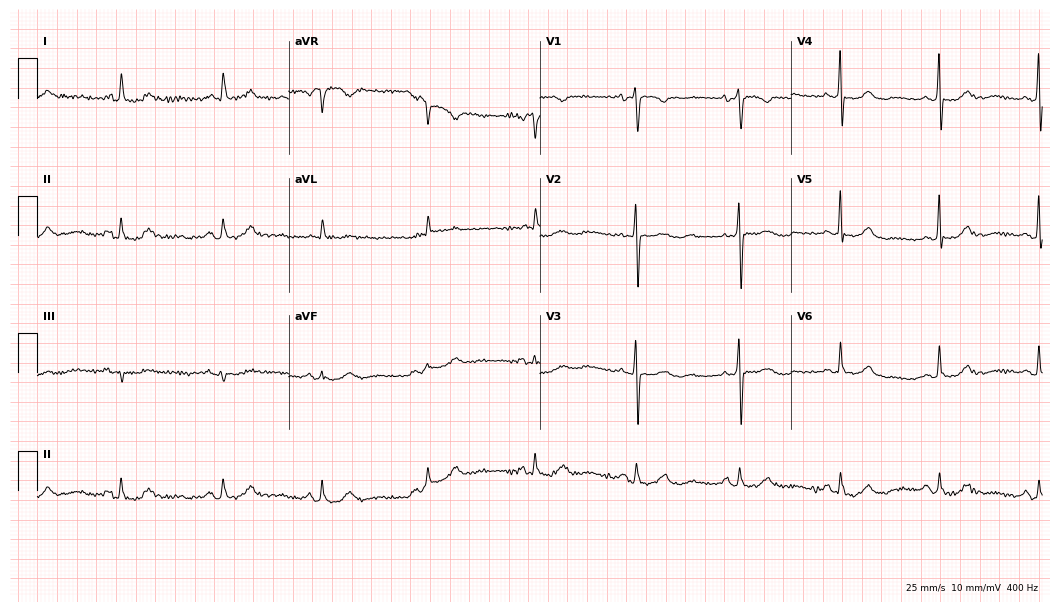
Electrocardiogram, a 76-year-old female. Of the six screened findings (first-degree AV block, right bundle branch block, left bundle branch block, sinus bradycardia, atrial fibrillation, sinus tachycardia), none is recorded.